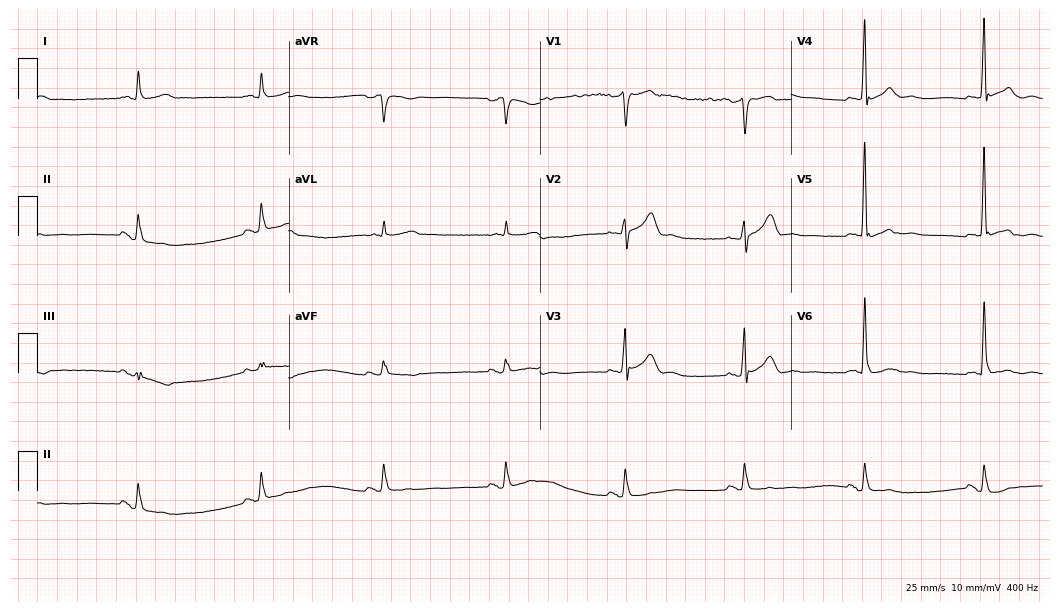
12-lead ECG from a 79-year-old male. Recorded interpretation: within normal limits.